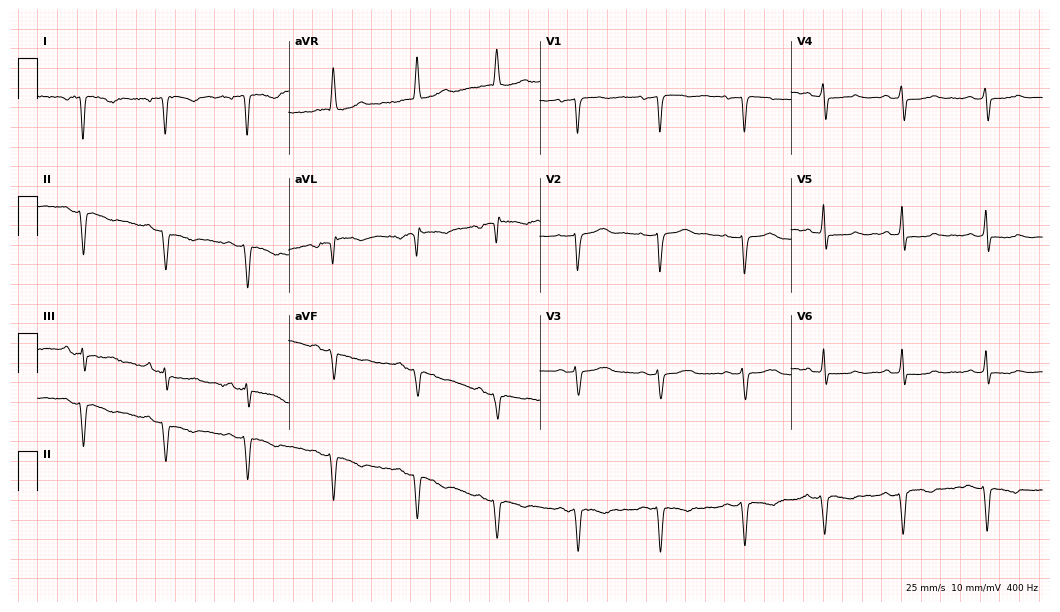
ECG — a woman, 65 years old. Screened for six findings — first-degree AV block, right bundle branch block, left bundle branch block, sinus bradycardia, atrial fibrillation, sinus tachycardia — none is recorded.